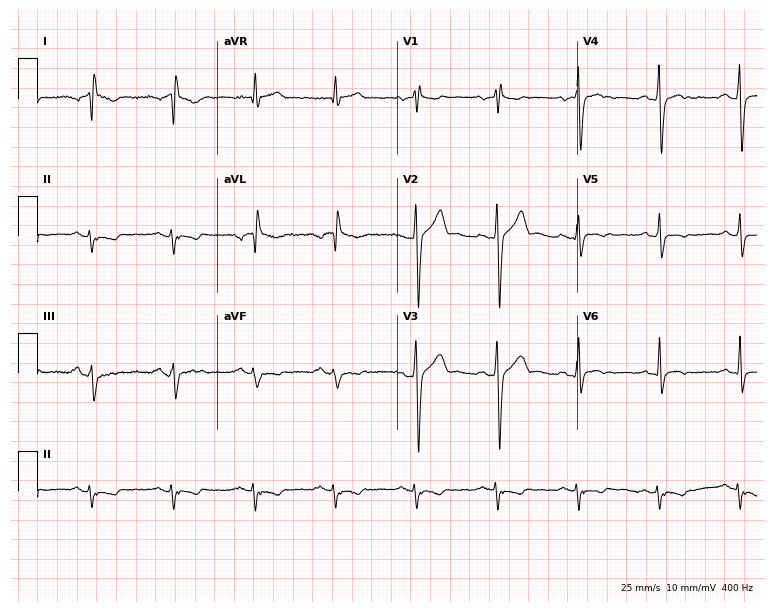
12-lead ECG (7.3-second recording at 400 Hz) from a male, 33 years old. Screened for six findings — first-degree AV block, right bundle branch block, left bundle branch block, sinus bradycardia, atrial fibrillation, sinus tachycardia — none is recorded.